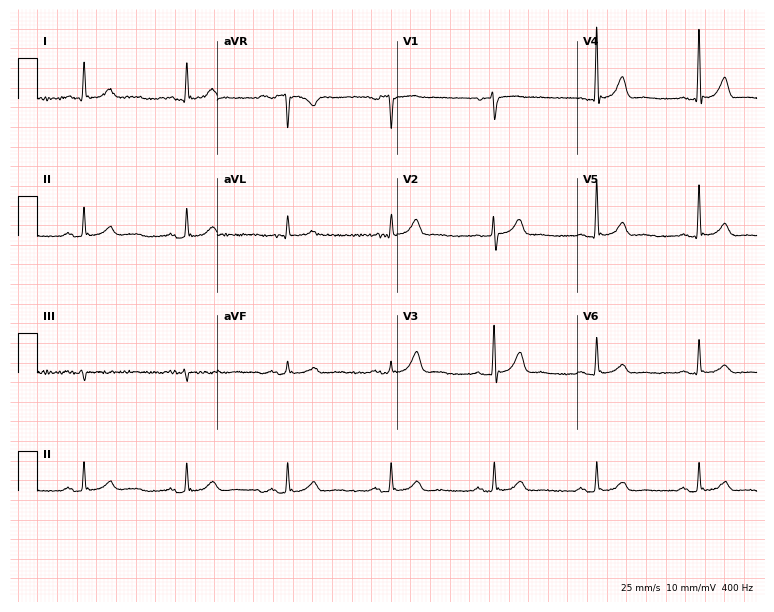
ECG — a male, 70 years old. Labelled as a normal ECG.